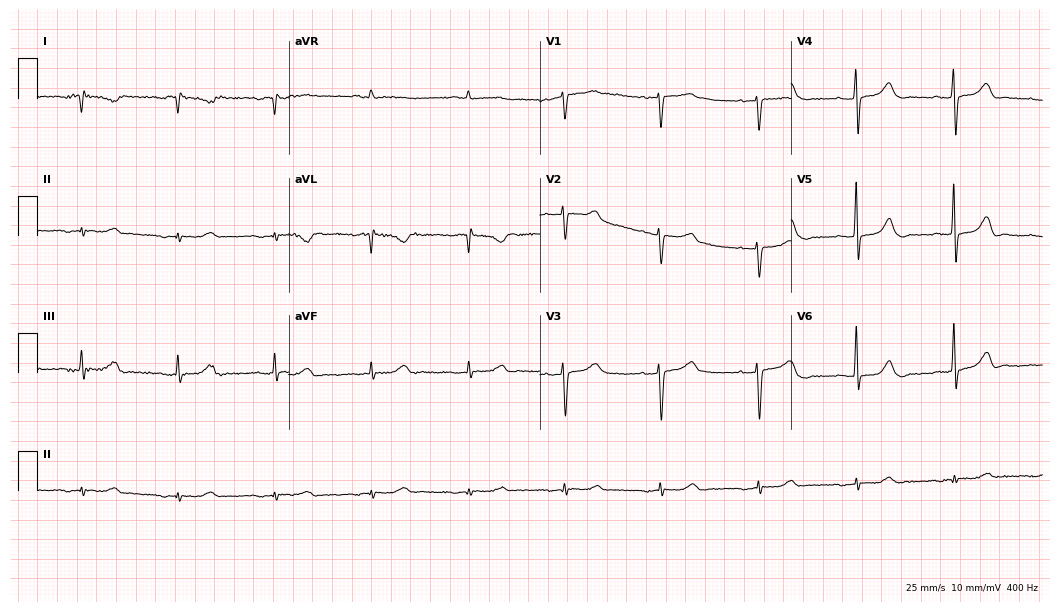
12-lead ECG from a 72-year-old female (10.2-second recording at 400 Hz). Recorded interpretation: within normal limits.